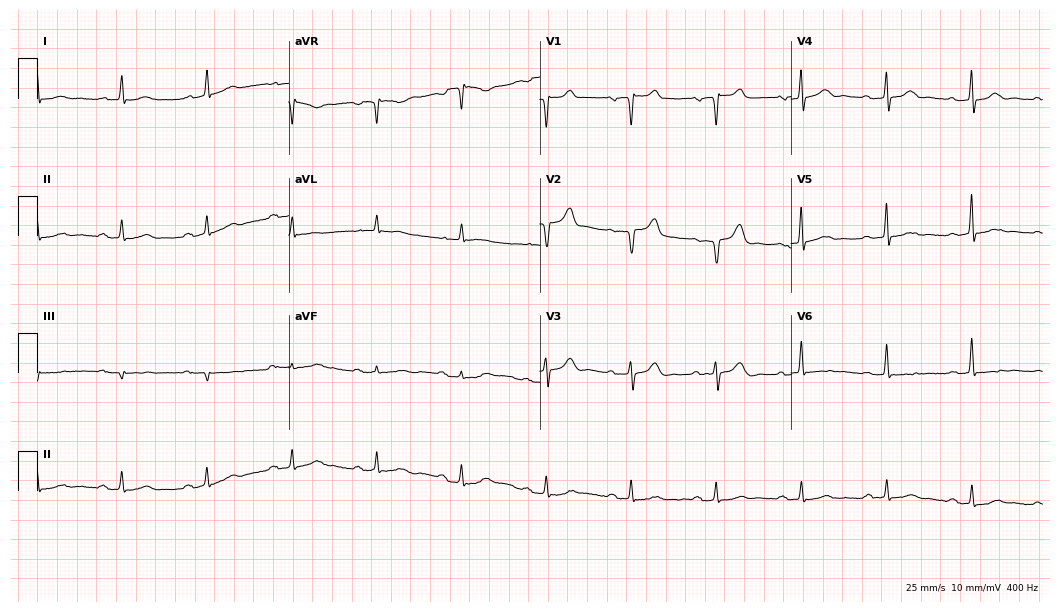
12-lead ECG from a man, 69 years old. Screened for six findings — first-degree AV block, right bundle branch block, left bundle branch block, sinus bradycardia, atrial fibrillation, sinus tachycardia — none is recorded. Findings outside these six are not listed.